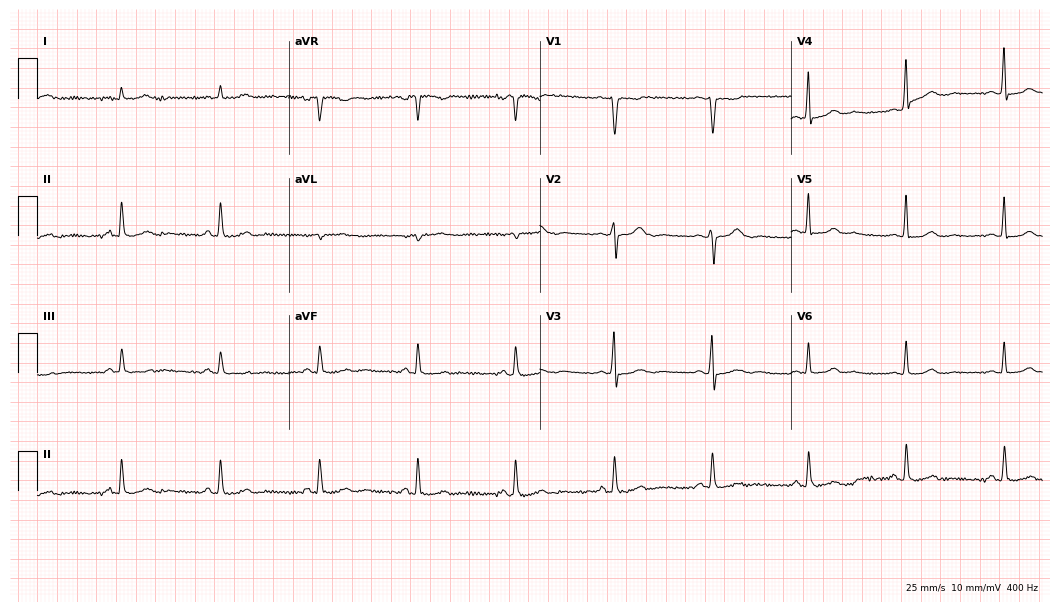
Standard 12-lead ECG recorded from a 44-year-old man. None of these six findings is recorded: first-degree AV block, right bundle branch block (RBBB), left bundle branch block (LBBB), sinus bradycardia, atrial fibrillation (AF), sinus tachycardia. Only these six findings were labelled.